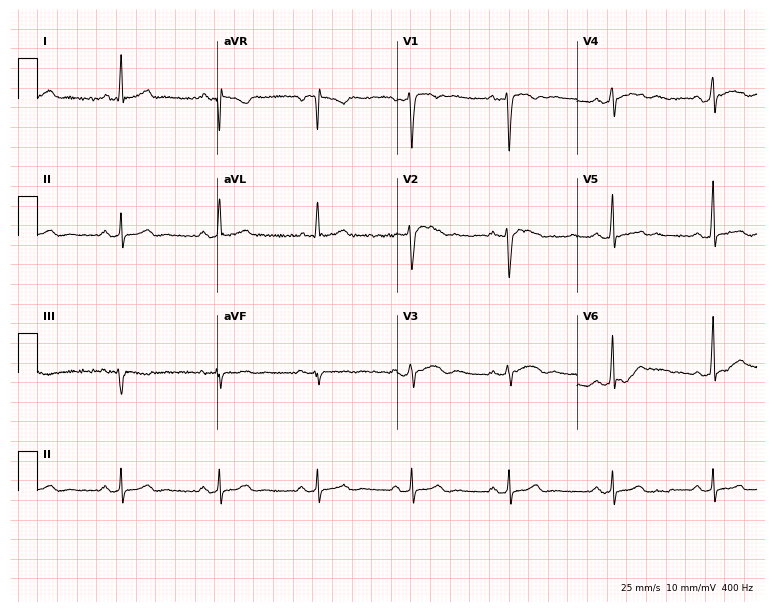
Electrocardiogram, a 43-year-old female patient. Of the six screened findings (first-degree AV block, right bundle branch block, left bundle branch block, sinus bradycardia, atrial fibrillation, sinus tachycardia), none is recorded.